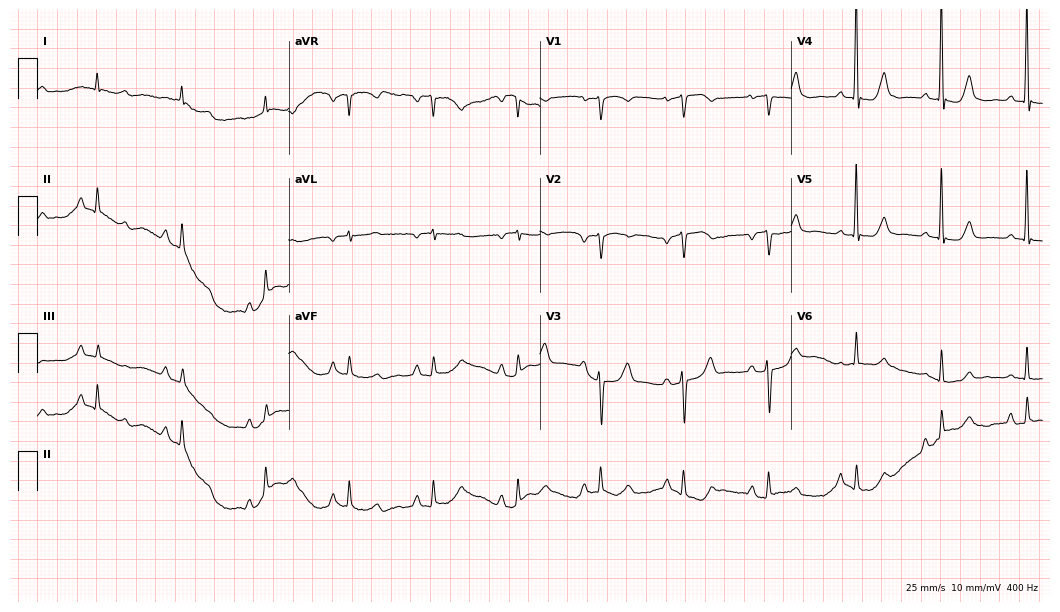
ECG (10.2-second recording at 400 Hz) — a 77-year-old female patient. Screened for six findings — first-degree AV block, right bundle branch block, left bundle branch block, sinus bradycardia, atrial fibrillation, sinus tachycardia — none is recorded.